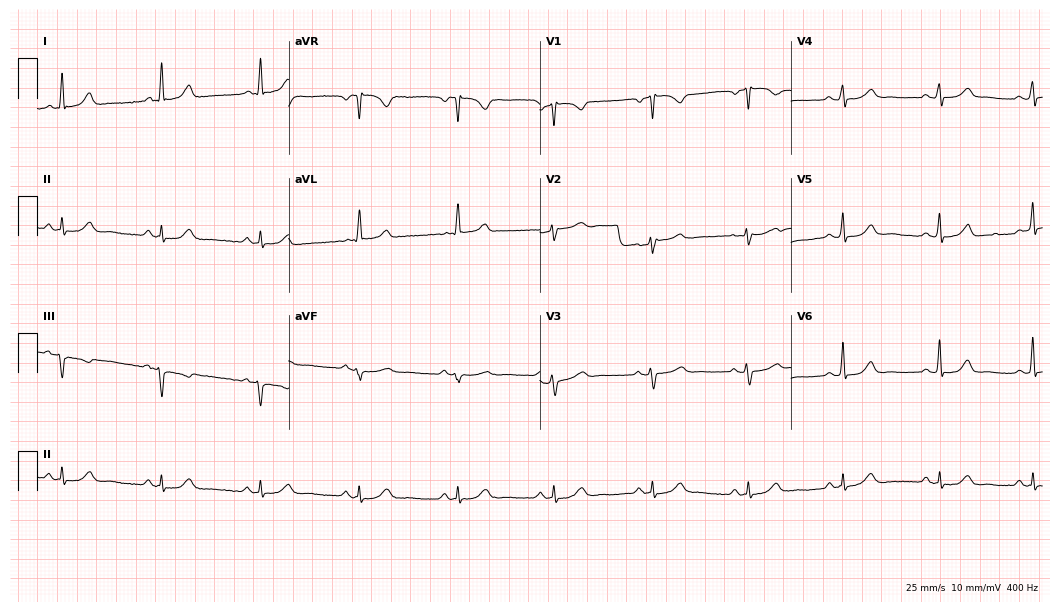
ECG (10.2-second recording at 400 Hz) — a female patient, 62 years old. Labelled as a normal ECG.